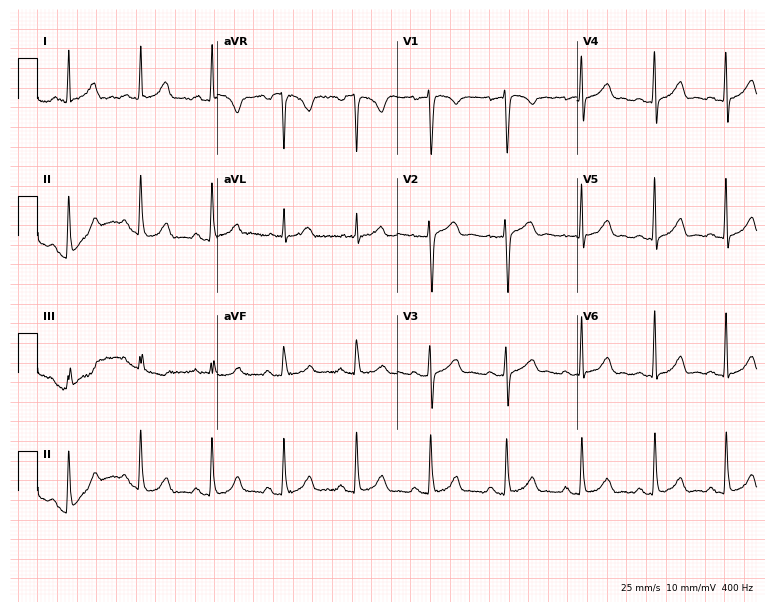
ECG (7.3-second recording at 400 Hz) — a 42-year-old woman. Screened for six findings — first-degree AV block, right bundle branch block (RBBB), left bundle branch block (LBBB), sinus bradycardia, atrial fibrillation (AF), sinus tachycardia — none is recorded.